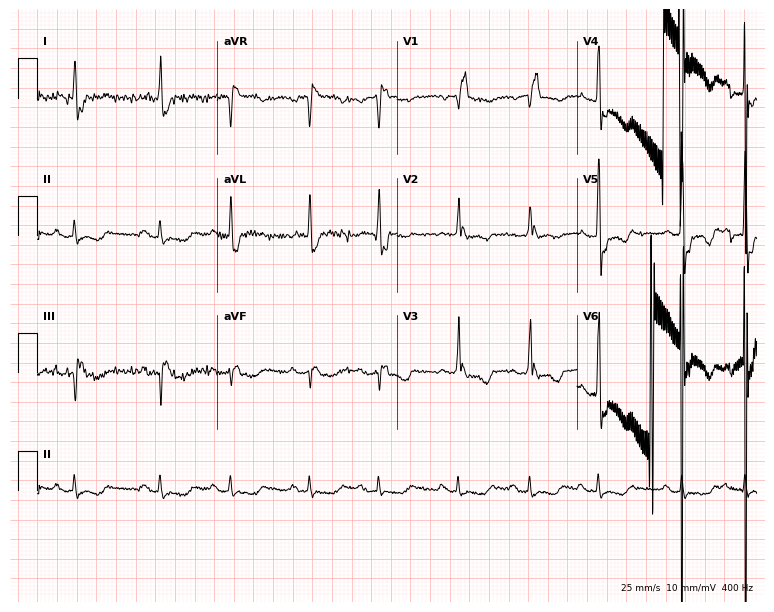
ECG — a male patient, 78 years old. Findings include right bundle branch block.